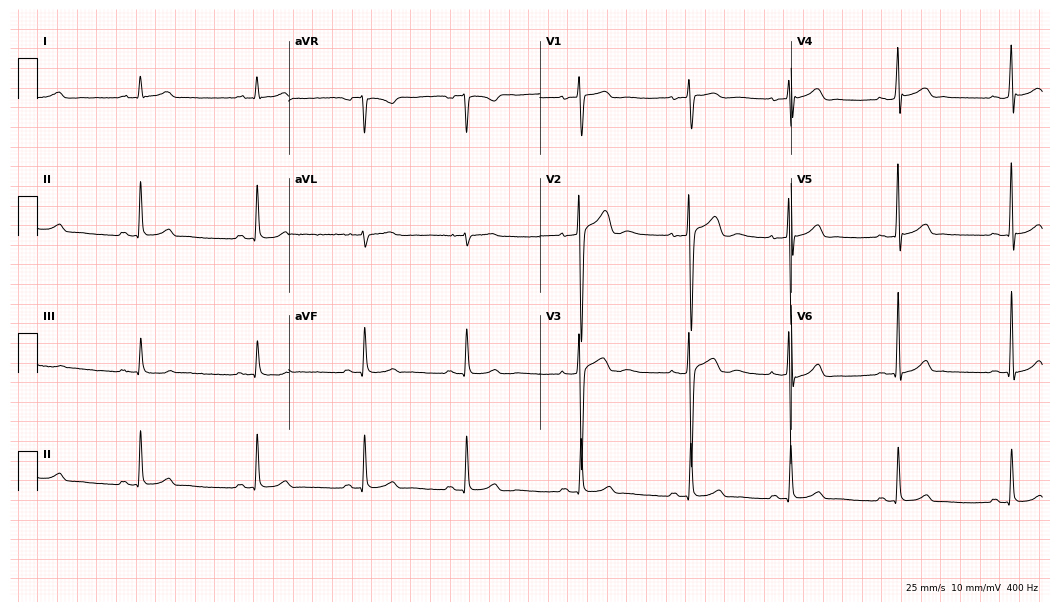
Resting 12-lead electrocardiogram. Patient: a male, 17 years old. Read as a normal ECG.